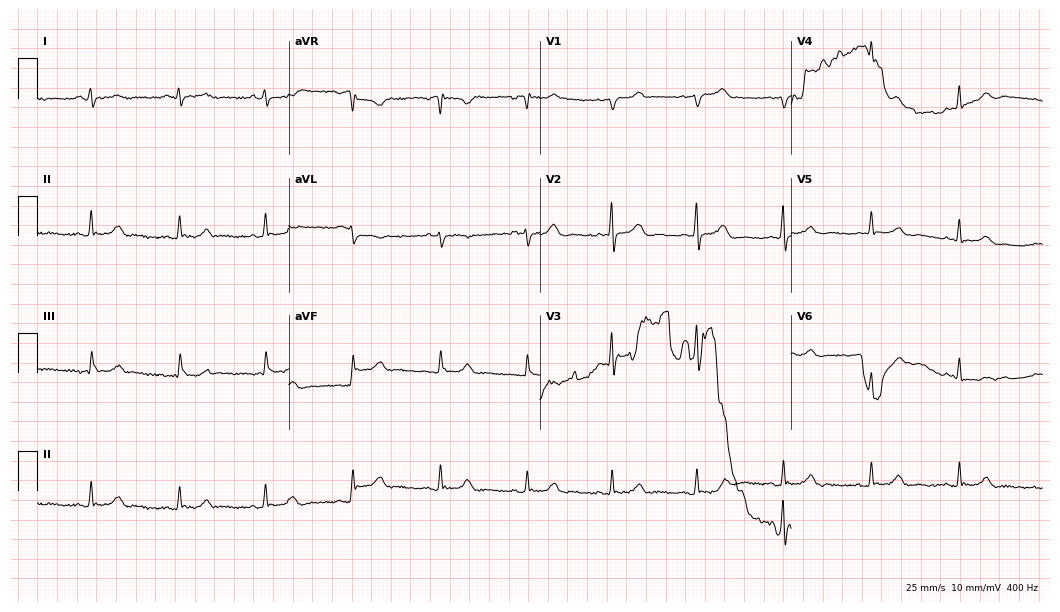
12-lead ECG from a 32-year-old male patient. Recorded interpretation: within normal limits.